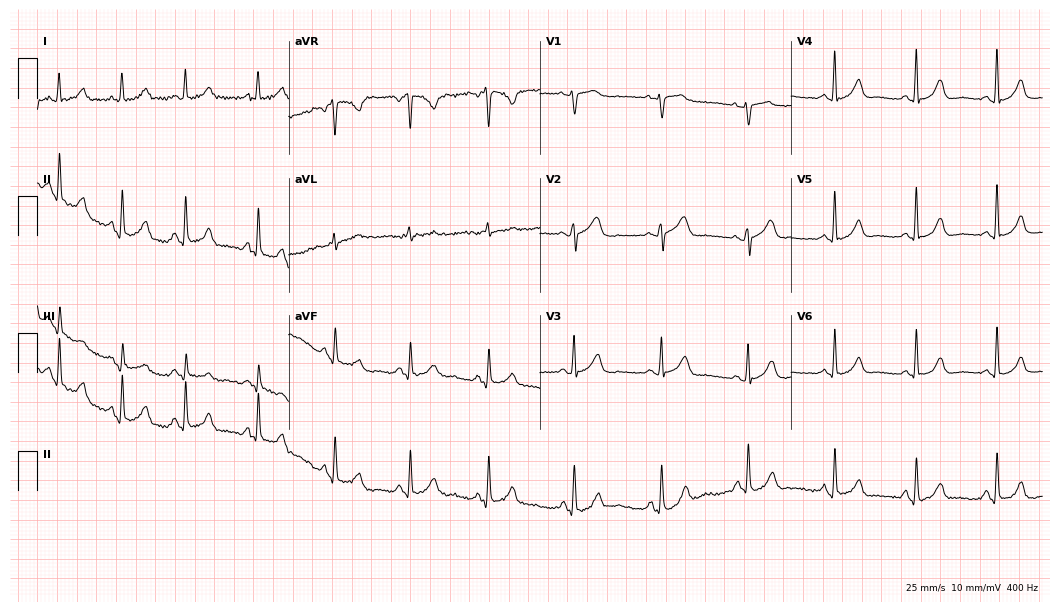
12-lead ECG from a female patient, 53 years old. No first-degree AV block, right bundle branch block (RBBB), left bundle branch block (LBBB), sinus bradycardia, atrial fibrillation (AF) or sinus tachycardia recorded for this tracing.